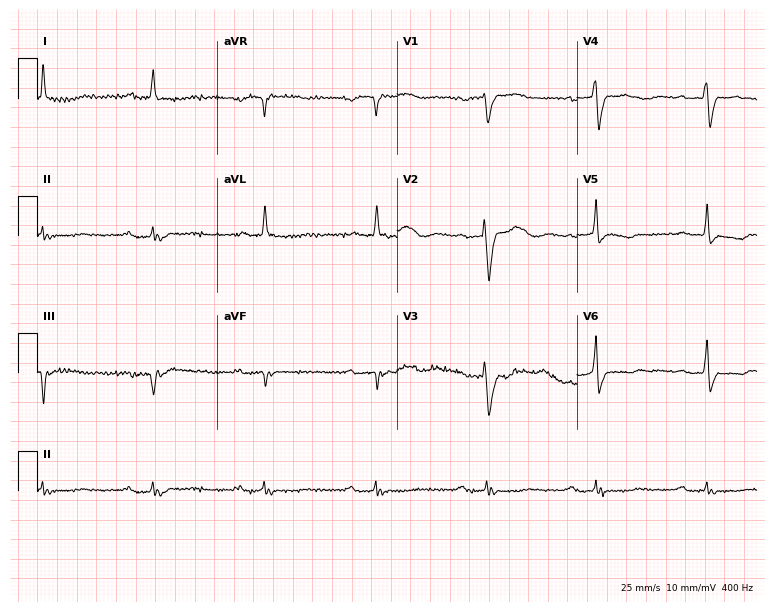
Resting 12-lead electrocardiogram. Patient: an 83-year-old female. The tracing shows first-degree AV block.